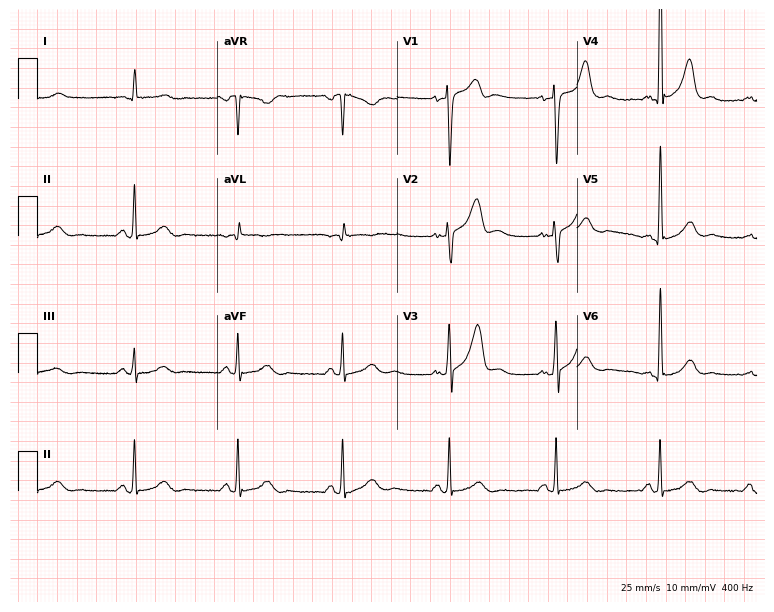
Resting 12-lead electrocardiogram. Patient: a man, 54 years old. None of these six findings is recorded: first-degree AV block, right bundle branch block, left bundle branch block, sinus bradycardia, atrial fibrillation, sinus tachycardia. Only these six findings were labelled.